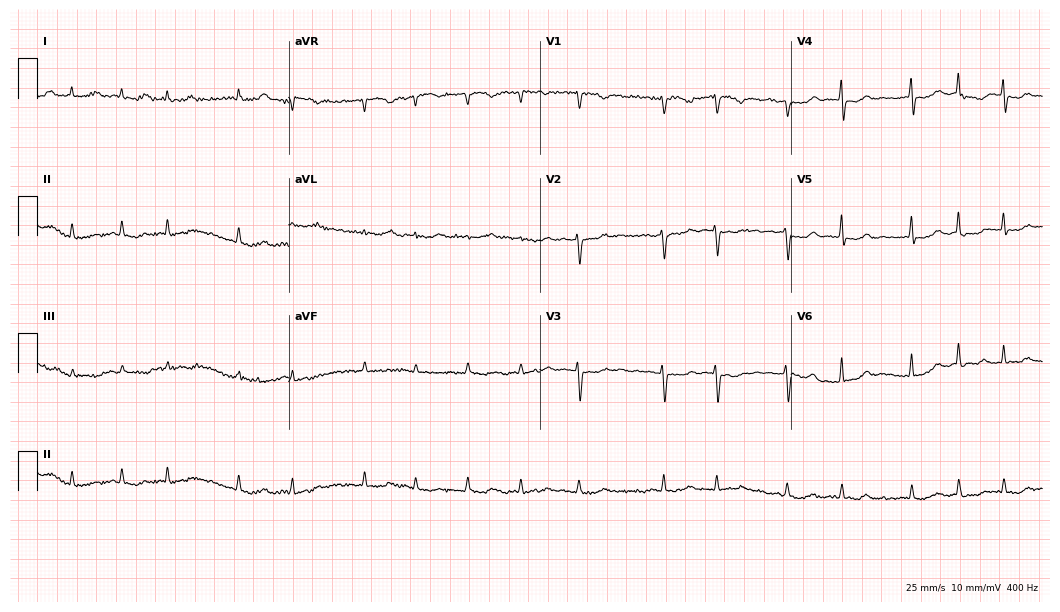
12-lead ECG from a female, 72 years old. Shows atrial fibrillation.